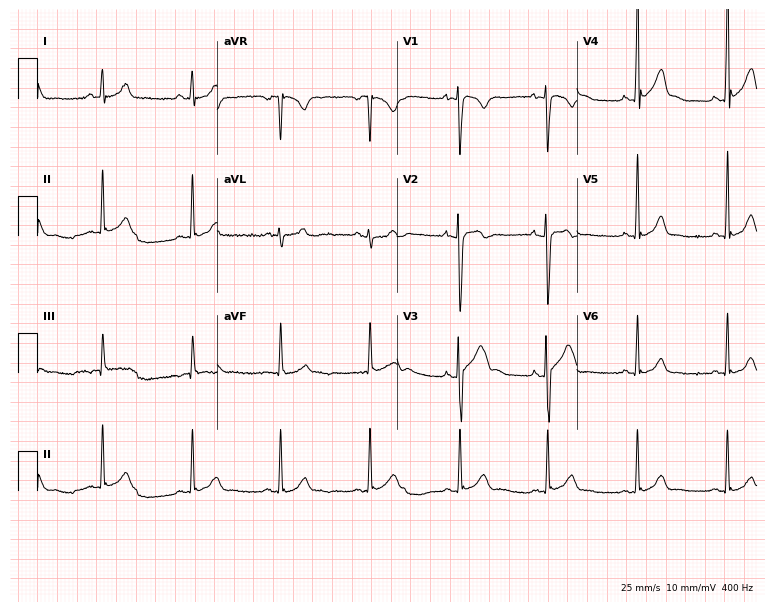
Standard 12-lead ECG recorded from a 17-year-old man (7.3-second recording at 400 Hz). Read as a normal ECG.